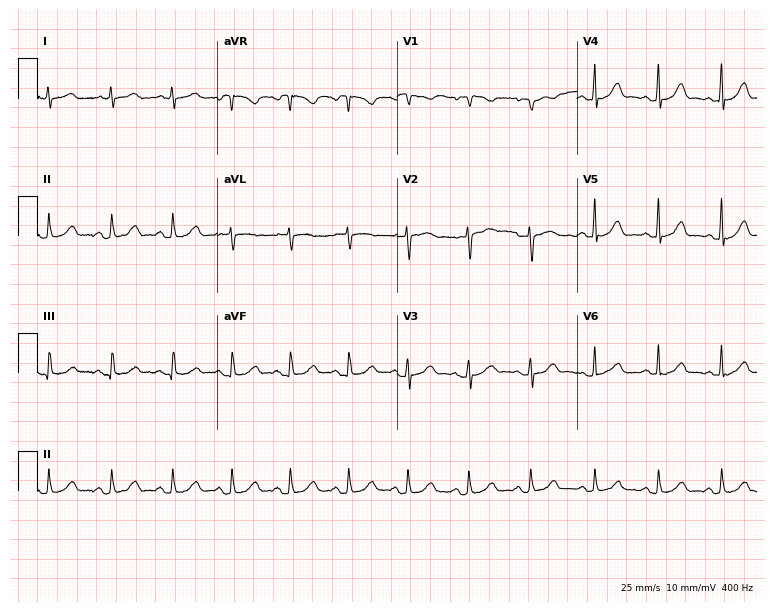
Resting 12-lead electrocardiogram (7.3-second recording at 400 Hz). Patient: a 44-year-old woman. None of these six findings is recorded: first-degree AV block, right bundle branch block, left bundle branch block, sinus bradycardia, atrial fibrillation, sinus tachycardia. Other findings, if any, are not listed.